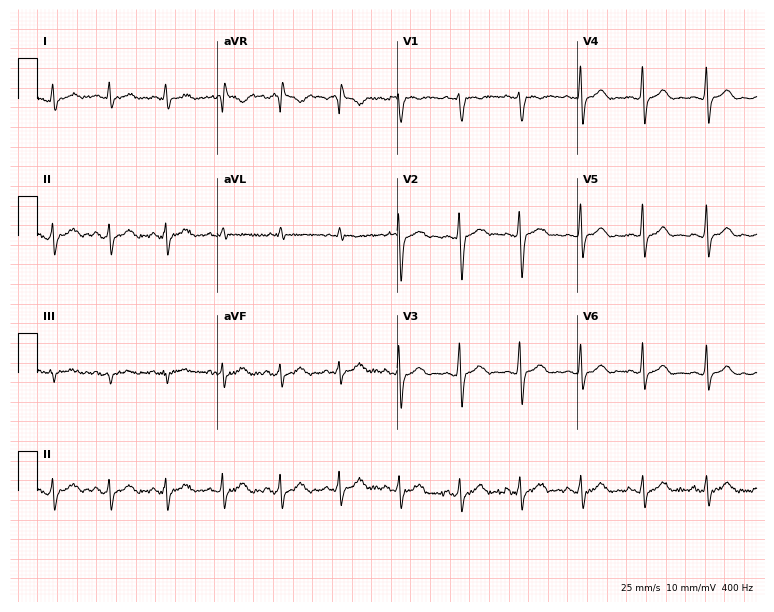
12-lead ECG from a 23-year-old female patient (7.3-second recording at 400 Hz). Recorded interpretation: within normal limits.